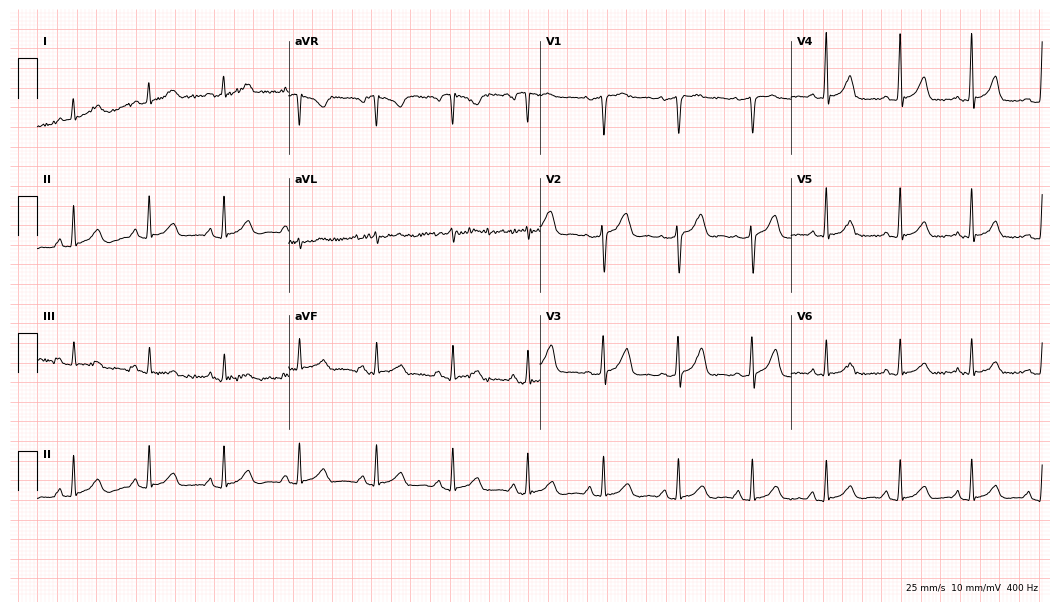
ECG (10.2-second recording at 400 Hz) — a woman, 44 years old. Screened for six findings — first-degree AV block, right bundle branch block (RBBB), left bundle branch block (LBBB), sinus bradycardia, atrial fibrillation (AF), sinus tachycardia — none is recorded.